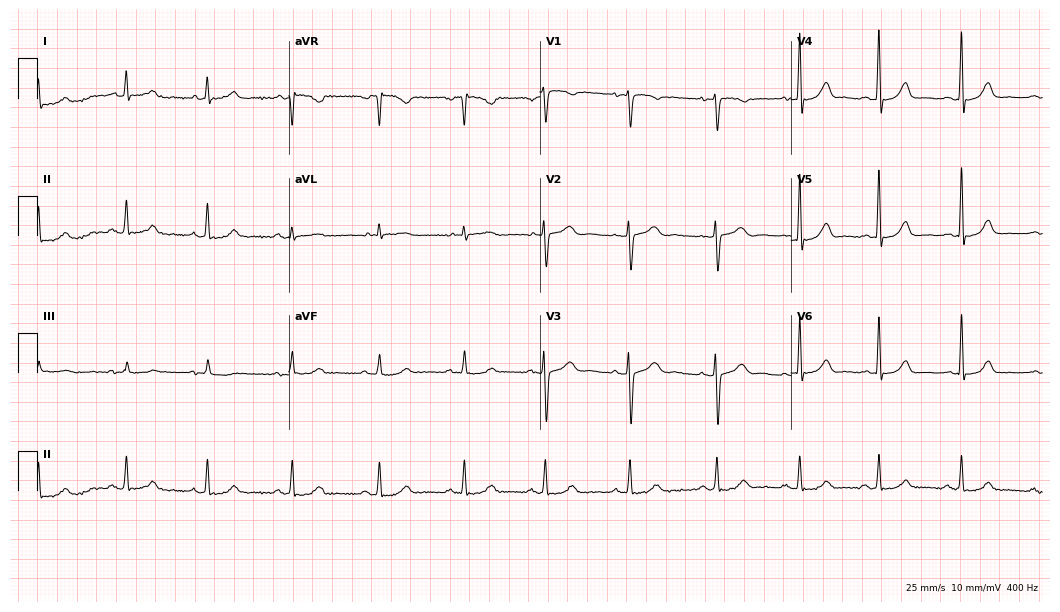
ECG — a 40-year-old woman. Labelled as a normal ECG.